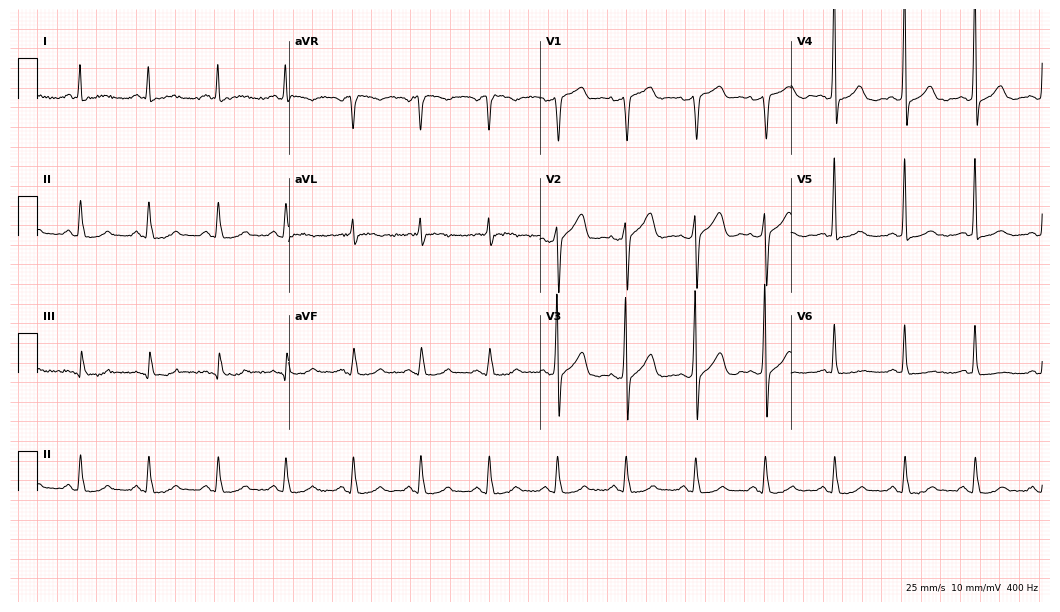
ECG (10.2-second recording at 400 Hz) — a male, 51 years old. Labelled as a normal ECG.